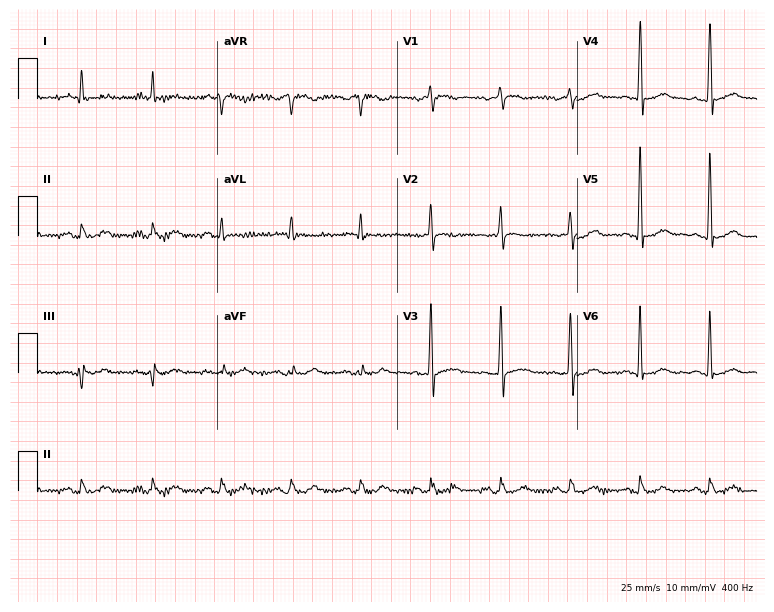
12-lead ECG from a man, 64 years old (7.3-second recording at 400 Hz). No first-degree AV block, right bundle branch block, left bundle branch block, sinus bradycardia, atrial fibrillation or sinus tachycardia recorded for this tracing.